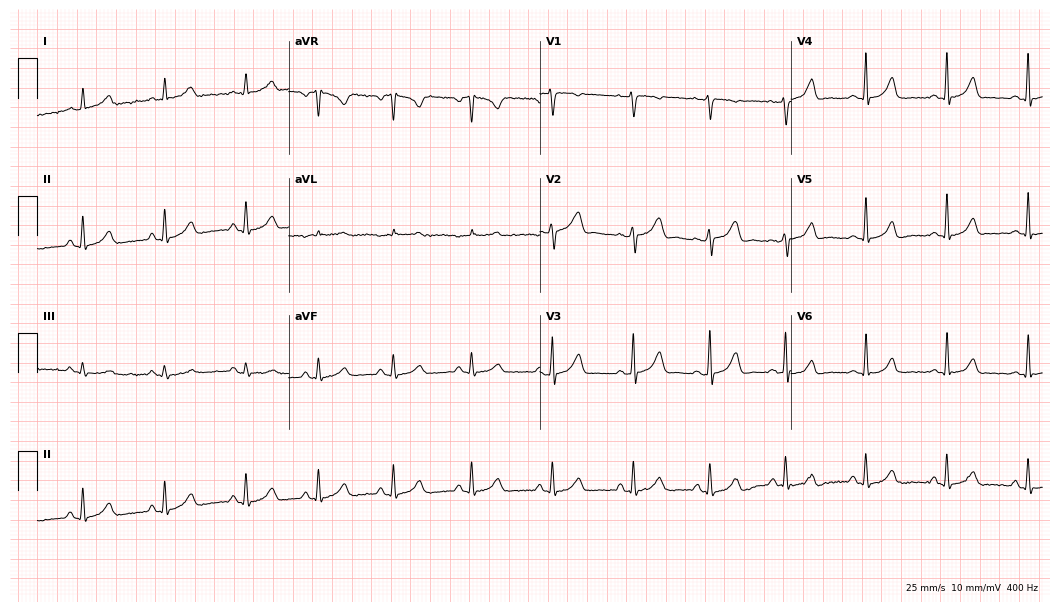
Standard 12-lead ECG recorded from a 22-year-old woman (10.2-second recording at 400 Hz). Read as a normal ECG.